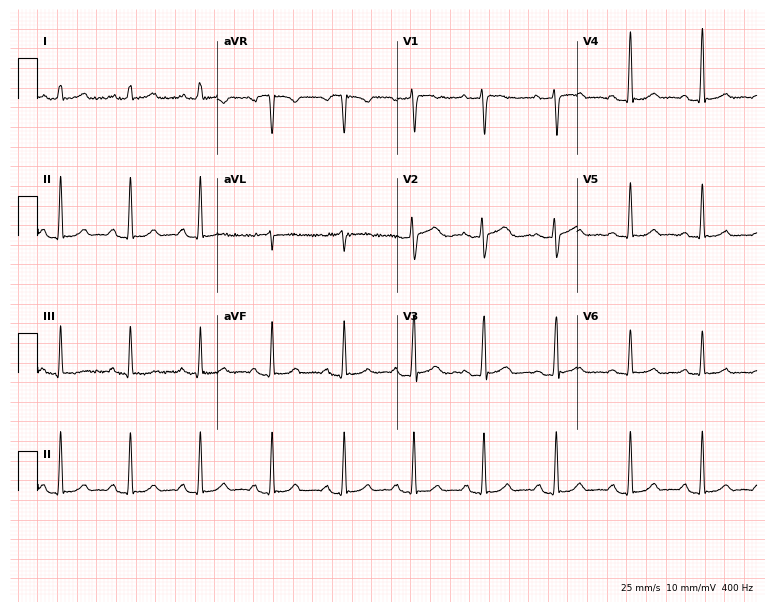
12-lead ECG from a female patient, 42 years old. No first-degree AV block, right bundle branch block (RBBB), left bundle branch block (LBBB), sinus bradycardia, atrial fibrillation (AF) or sinus tachycardia recorded for this tracing. Findings outside these six are not listed.